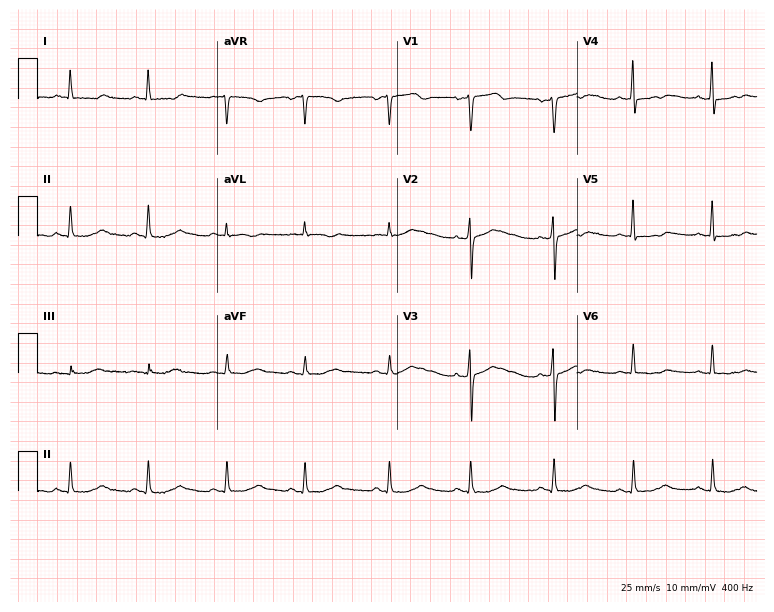
12-lead ECG from a woman, 83 years old (7.3-second recording at 400 Hz). Recorded interpretation: within normal limits.